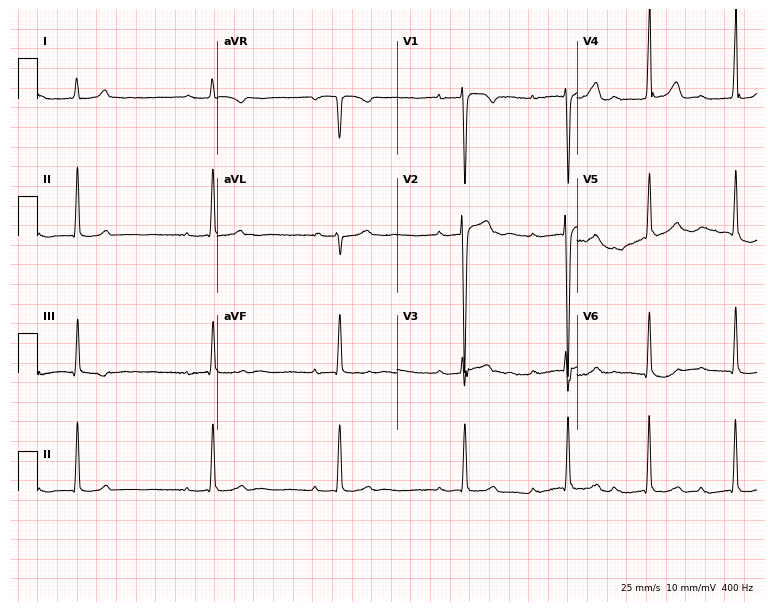
12-lead ECG from a 19-year-old woman. Shows first-degree AV block, atrial fibrillation.